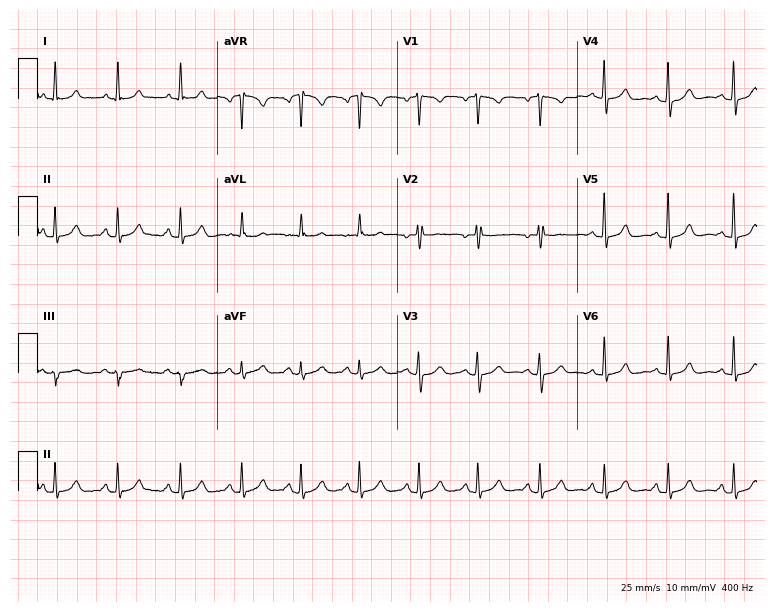
Resting 12-lead electrocardiogram (7.3-second recording at 400 Hz). Patient: a 30-year-old female. None of these six findings is recorded: first-degree AV block, right bundle branch block, left bundle branch block, sinus bradycardia, atrial fibrillation, sinus tachycardia. Findings outside these six are not listed.